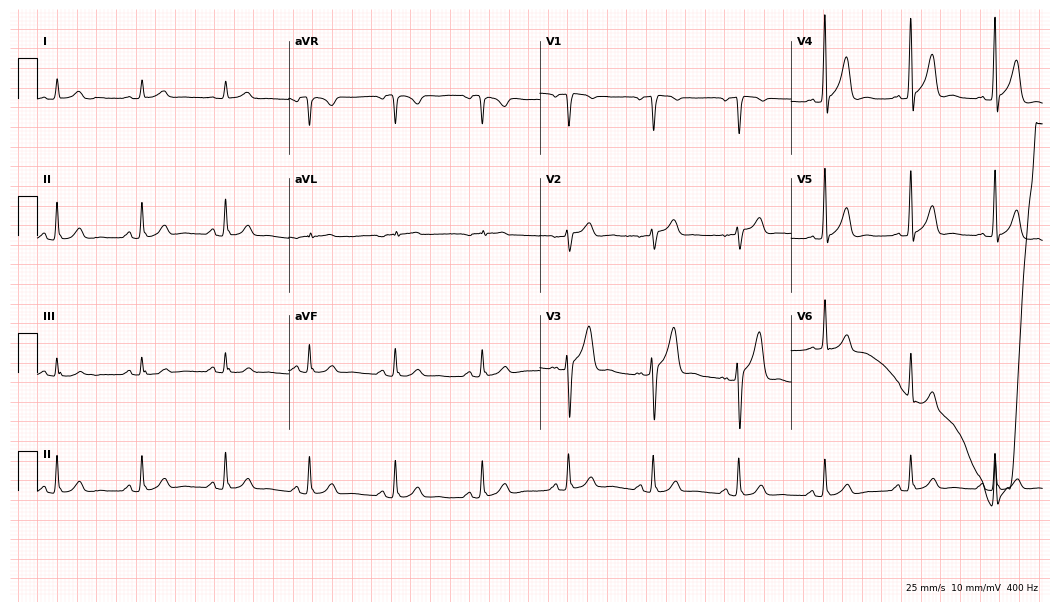
Electrocardiogram, a man, 67 years old. Overall reading on record: normal ECG.